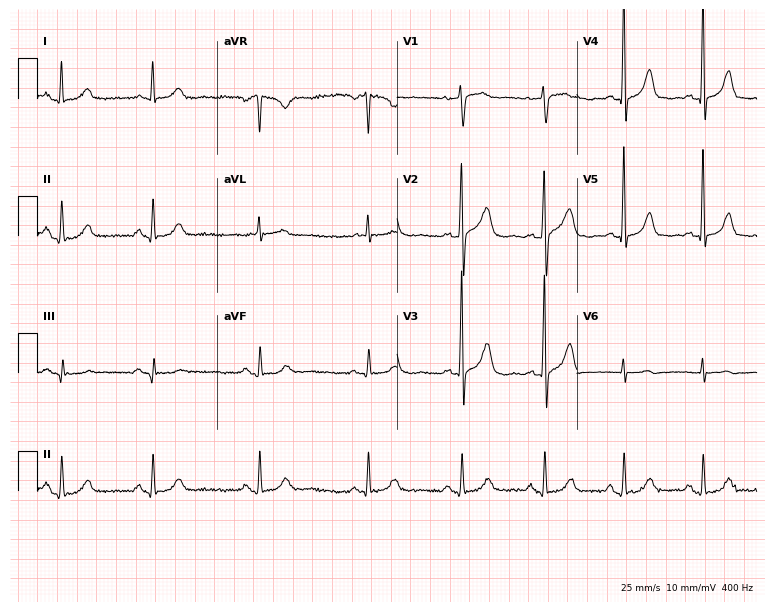
12-lead ECG from a male patient, 82 years old (7.3-second recording at 400 Hz). No first-degree AV block, right bundle branch block, left bundle branch block, sinus bradycardia, atrial fibrillation or sinus tachycardia recorded for this tracing.